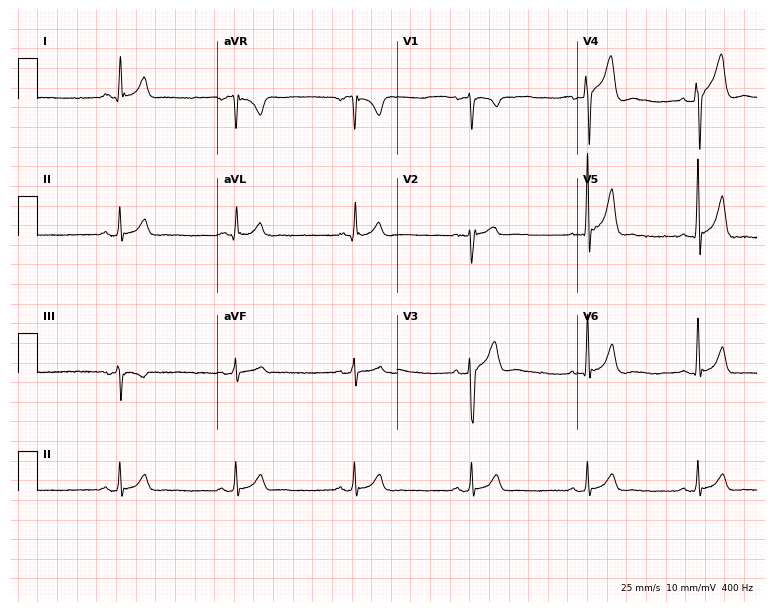
12-lead ECG from a 44-year-old male. No first-degree AV block, right bundle branch block (RBBB), left bundle branch block (LBBB), sinus bradycardia, atrial fibrillation (AF) or sinus tachycardia recorded for this tracing.